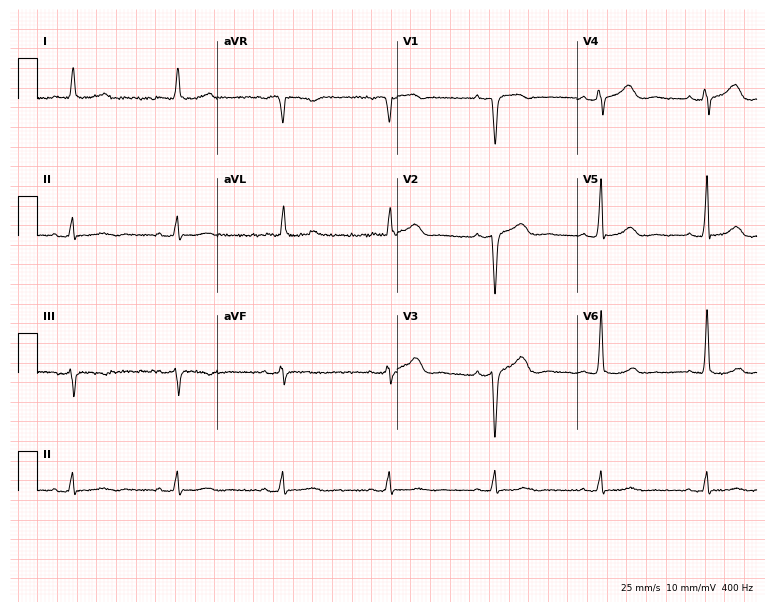
Standard 12-lead ECG recorded from an 80-year-old woman. None of these six findings is recorded: first-degree AV block, right bundle branch block, left bundle branch block, sinus bradycardia, atrial fibrillation, sinus tachycardia.